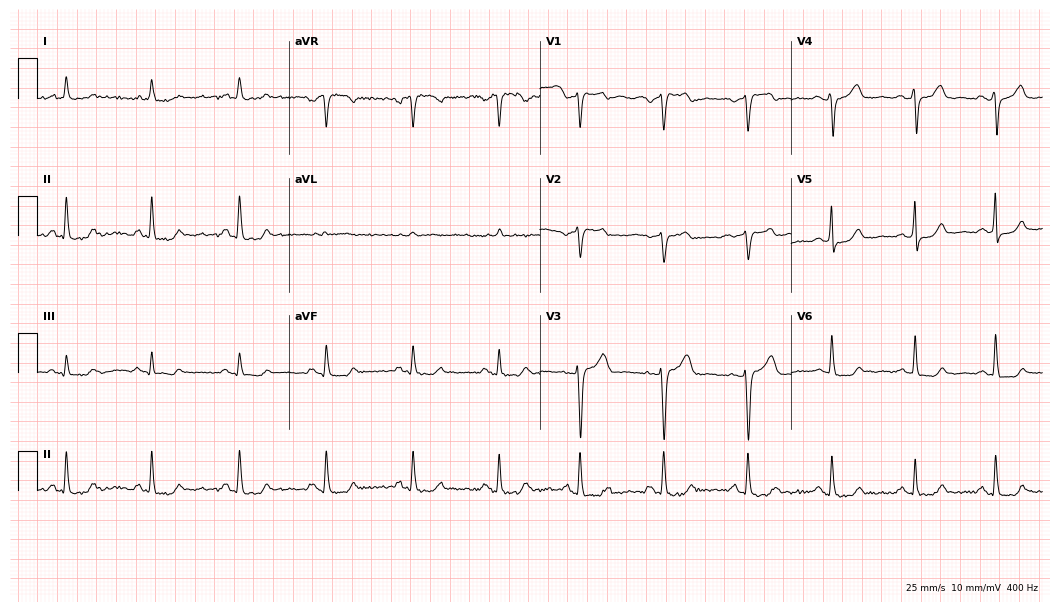
12-lead ECG from a female patient, 67 years old. No first-degree AV block, right bundle branch block, left bundle branch block, sinus bradycardia, atrial fibrillation or sinus tachycardia recorded for this tracing.